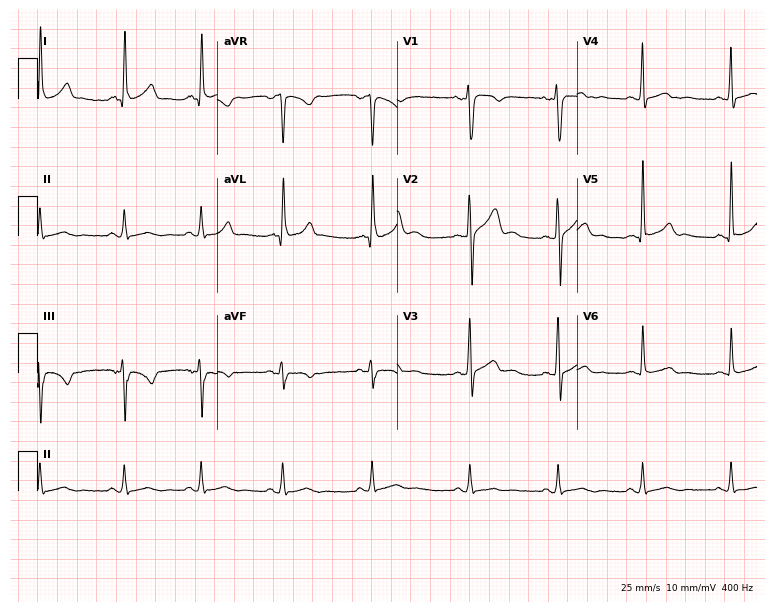
ECG — a 28-year-old man. Labelled as a normal ECG.